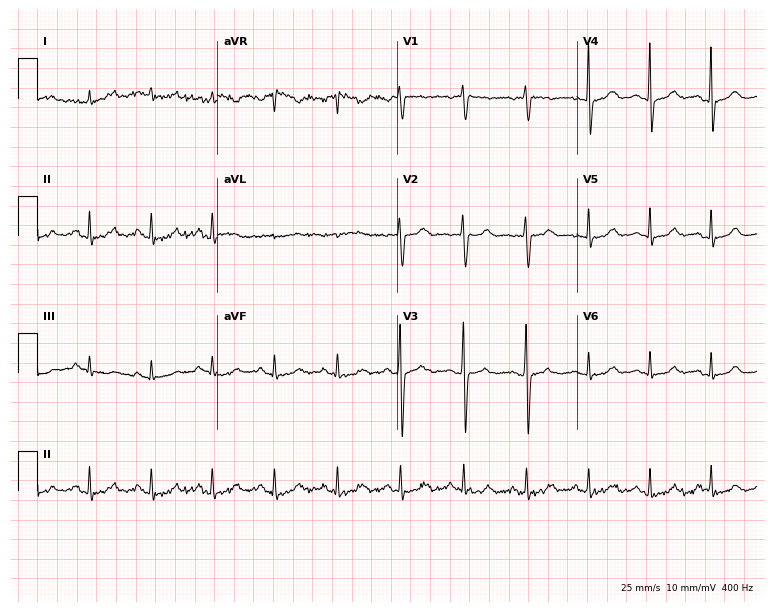
12-lead ECG from a 31-year-old woman (7.3-second recording at 400 Hz). Recorded interpretation: within normal limits.